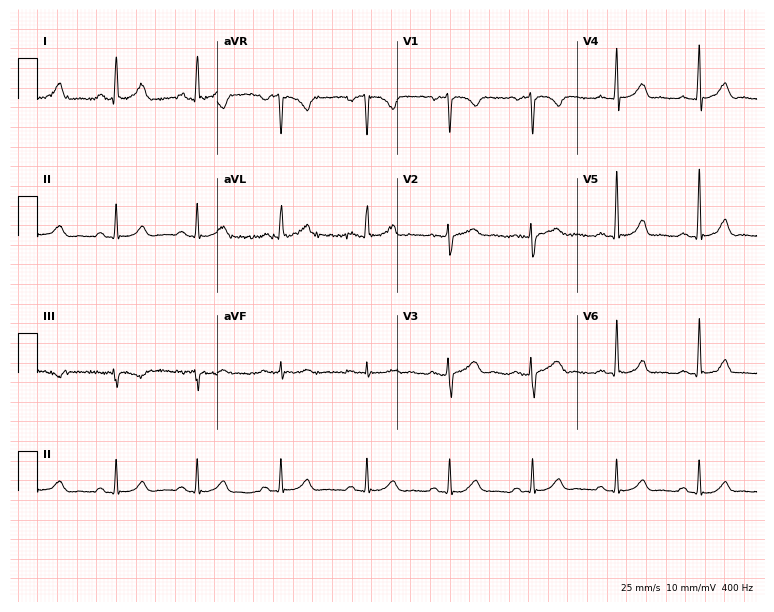
Resting 12-lead electrocardiogram (7.3-second recording at 400 Hz). Patient: a female, 44 years old. Read as a normal ECG.